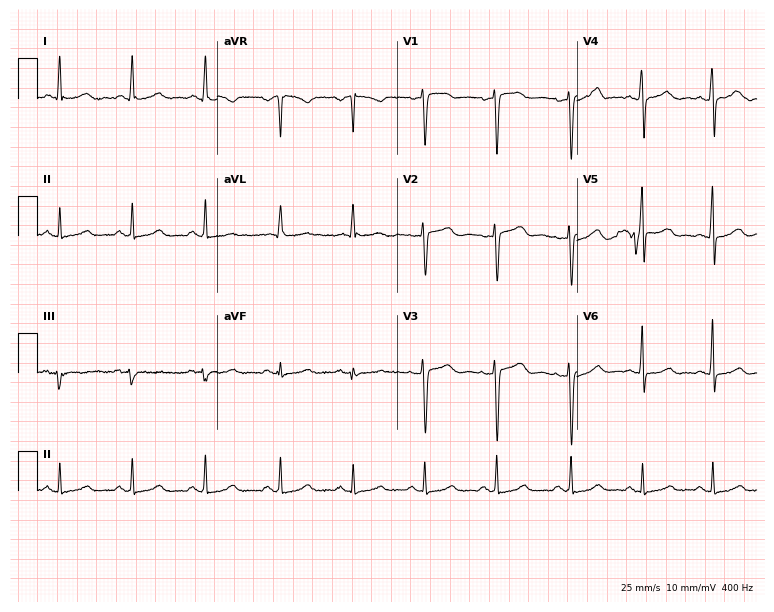
Standard 12-lead ECG recorded from a 46-year-old female (7.3-second recording at 400 Hz). None of these six findings is recorded: first-degree AV block, right bundle branch block (RBBB), left bundle branch block (LBBB), sinus bradycardia, atrial fibrillation (AF), sinus tachycardia. Only these six findings were labelled.